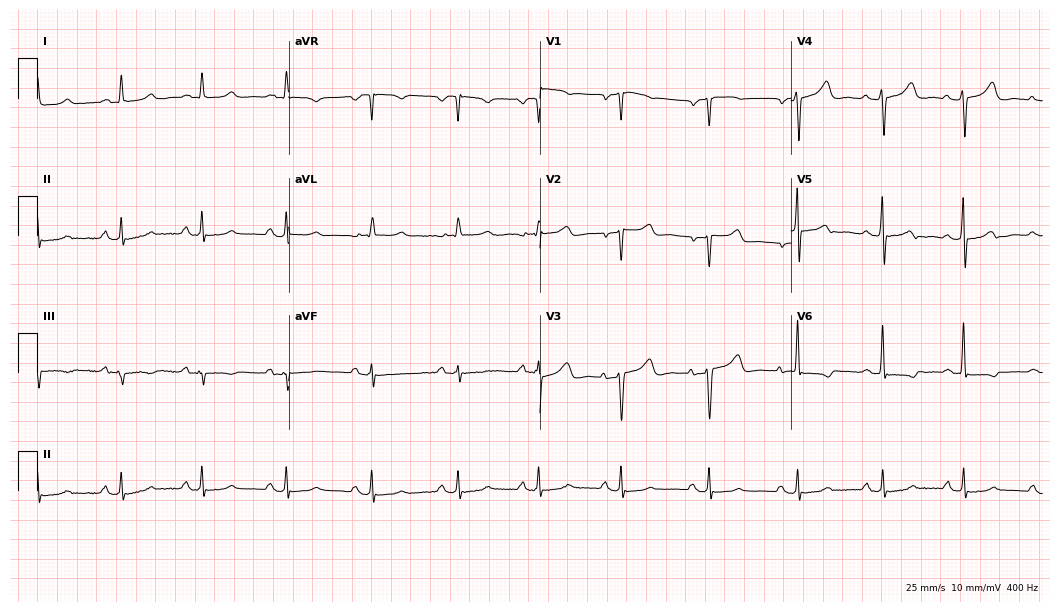
ECG — a 69-year-old female. Screened for six findings — first-degree AV block, right bundle branch block (RBBB), left bundle branch block (LBBB), sinus bradycardia, atrial fibrillation (AF), sinus tachycardia — none is recorded.